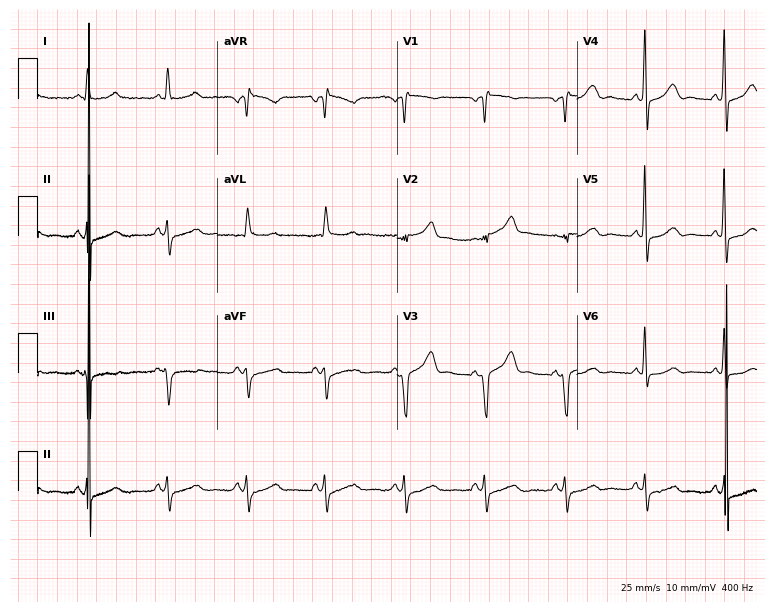
ECG — a man, 73 years old. Screened for six findings — first-degree AV block, right bundle branch block (RBBB), left bundle branch block (LBBB), sinus bradycardia, atrial fibrillation (AF), sinus tachycardia — none is recorded. Other findings, if any, are not listed.